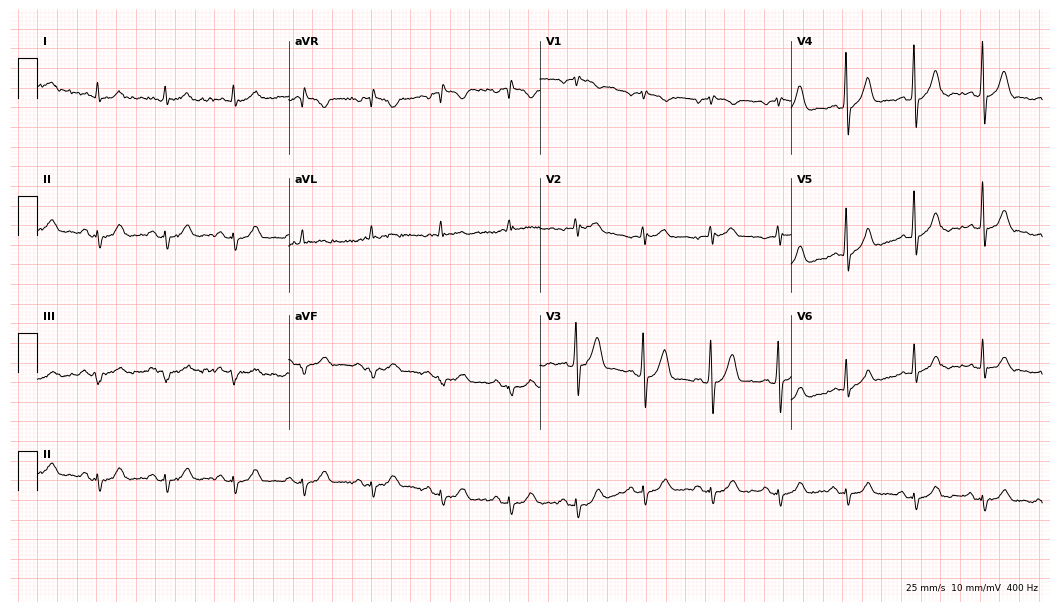
12-lead ECG from a male patient, 73 years old. Screened for six findings — first-degree AV block, right bundle branch block (RBBB), left bundle branch block (LBBB), sinus bradycardia, atrial fibrillation (AF), sinus tachycardia — none is recorded.